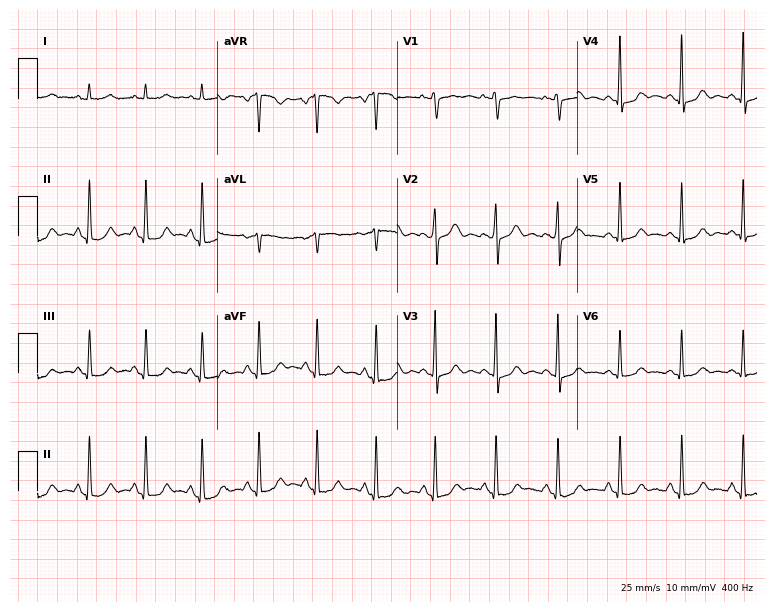
12-lead ECG from a 47-year-old female (7.3-second recording at 400 Hz). No first-degree AV block, right bundle branch block, left bundle branch block, sinus bradycardia, atrial fibrillation or sinus tachycardia recorded for this tracing.